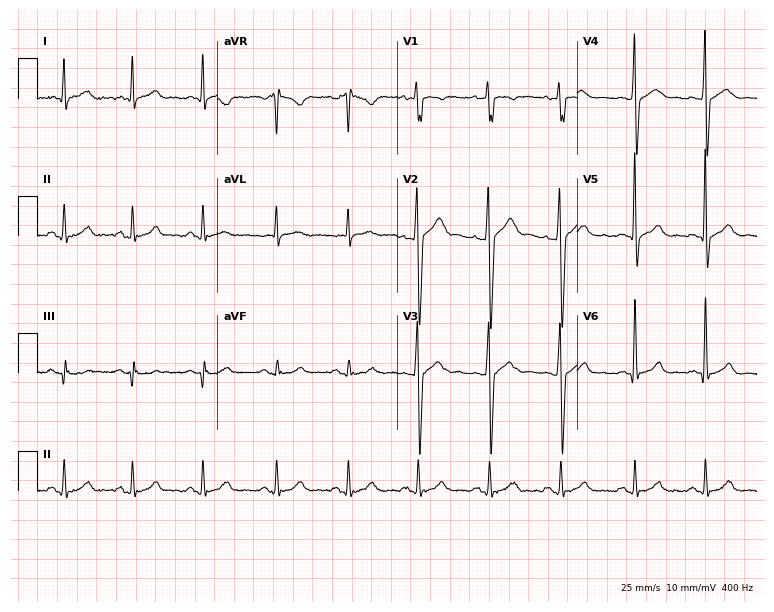
Resting 12-lead electrocardiogram (7.3-second recording at 400 Hz). Patient: a man, 25 years old. Read as a normal ECG.